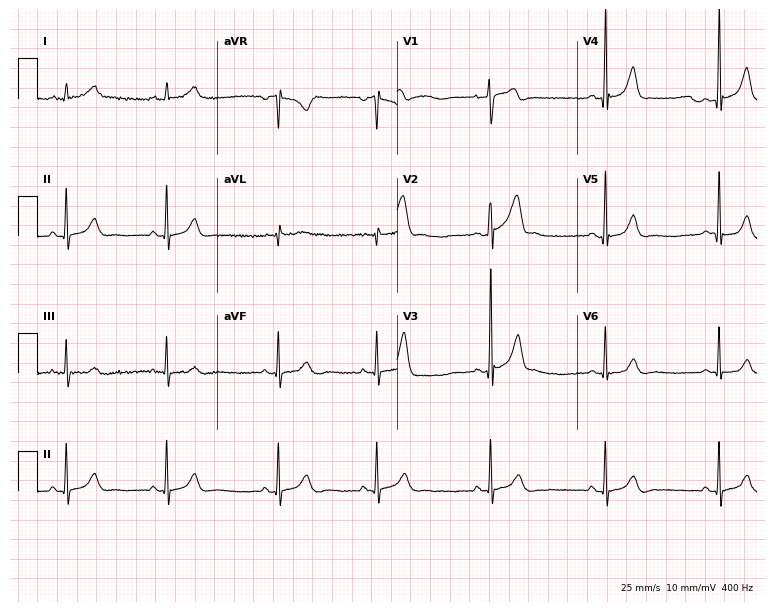
Electrocardiogram, a male, 26 years old. Of the six screened findings (first-degree AV block, right bundle branch block, left bundle branch block, sinus bradycardia, atrial fibrillation, sinus tachycardia), none is recorded.